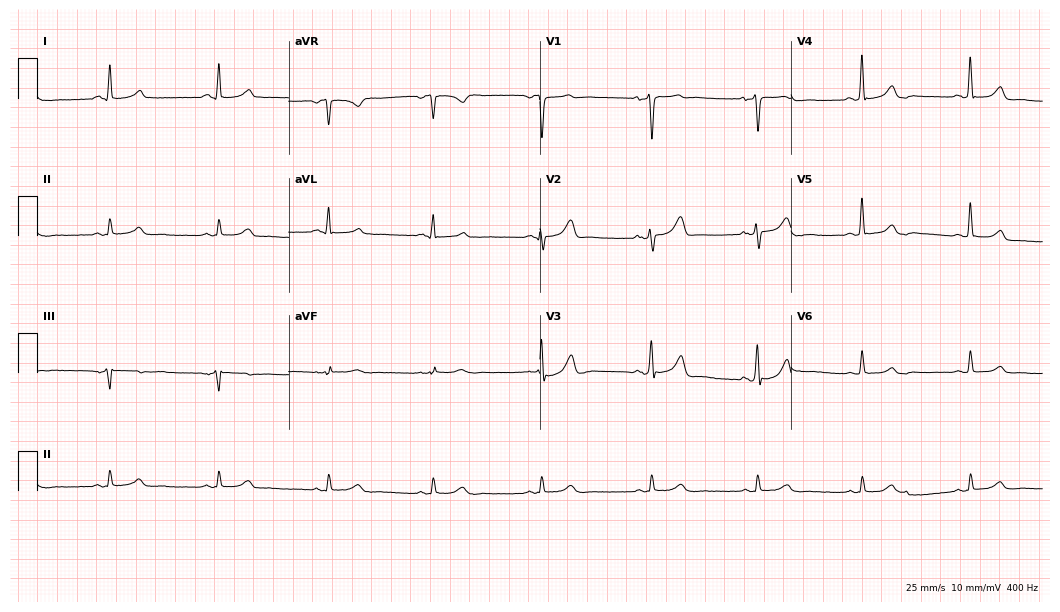
12-lead ECG from a male, 58 years old. Screened for six findings — first-degree AV block, right bundle branch block (RBBB), left bundle branch block (LBBB), sinus bradycardia, atrial fibrillation (AF), sinus tachycardia — none is recorded. Findings outside these six are not listed.